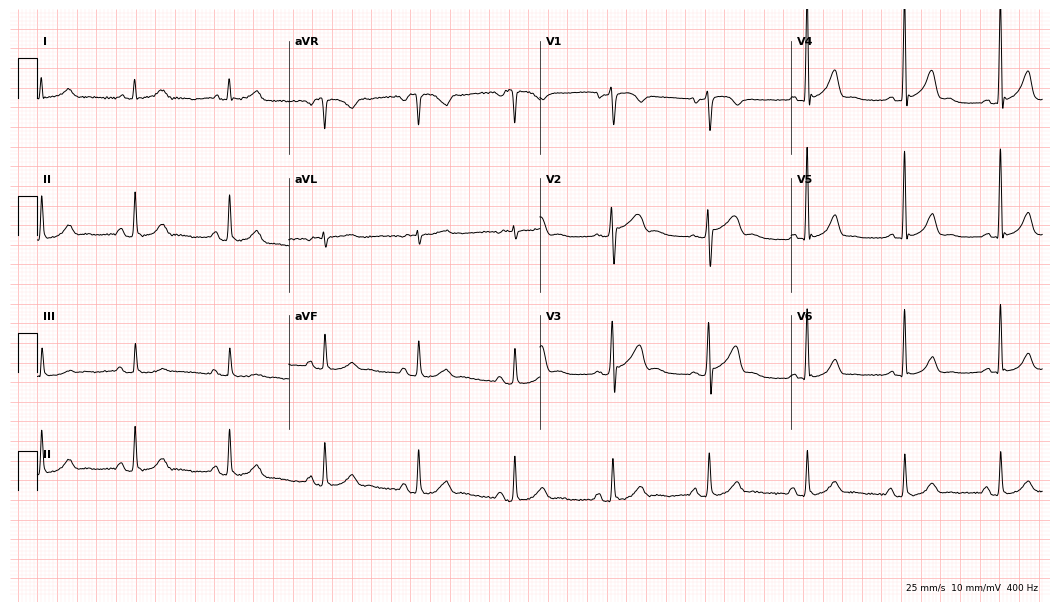
ECG (10.2-second recording at 400 Hz) — a 67-year-old male patient. Screened for six findings — first-degree AV block, right bundle branch block (RBBB), left bundle branch block (LBBB), sinus bradycardia, atrial fibrillation (AF), sinus tachycardia — none is recorded. Other findings, if any, are not listed.